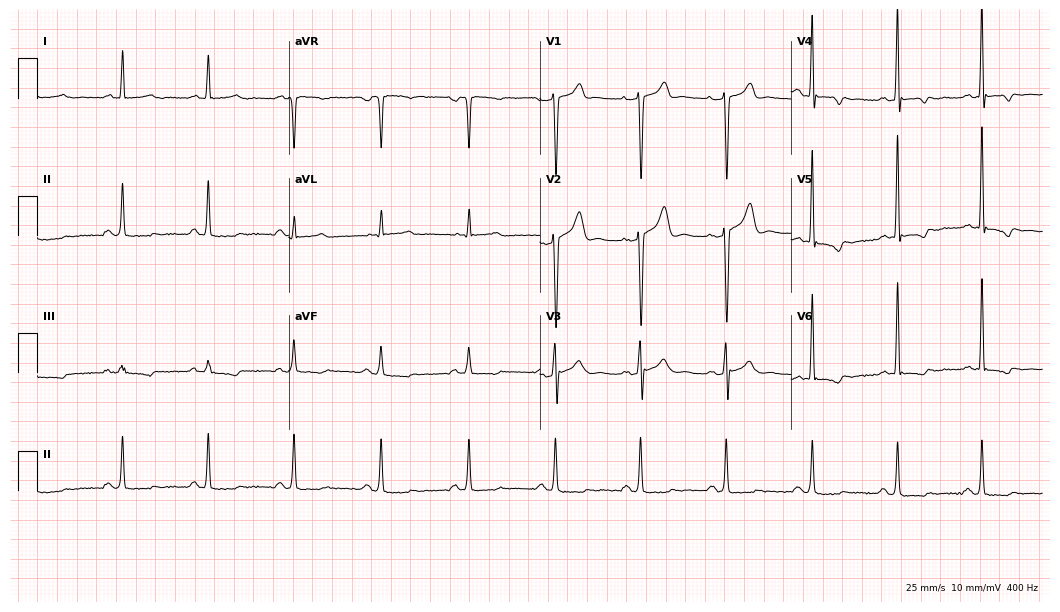
12-lead ECG from a 49-year-old male patient. No first-degree AV block, right bundle branch block, left bundle branch block, sinus bradycardia, atrial fibrillation or sinus tachycardia recorded for this tracing. Other findings, if any, are not listed.